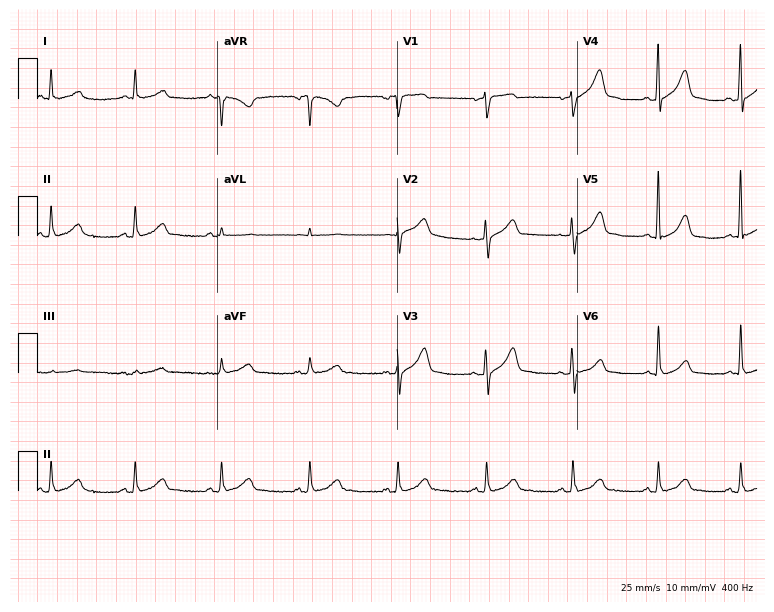
Electrocardiogram (7.3-second recording at 400 Hz), a female patient, 65 years old. Overall reading on record: normal ECG.